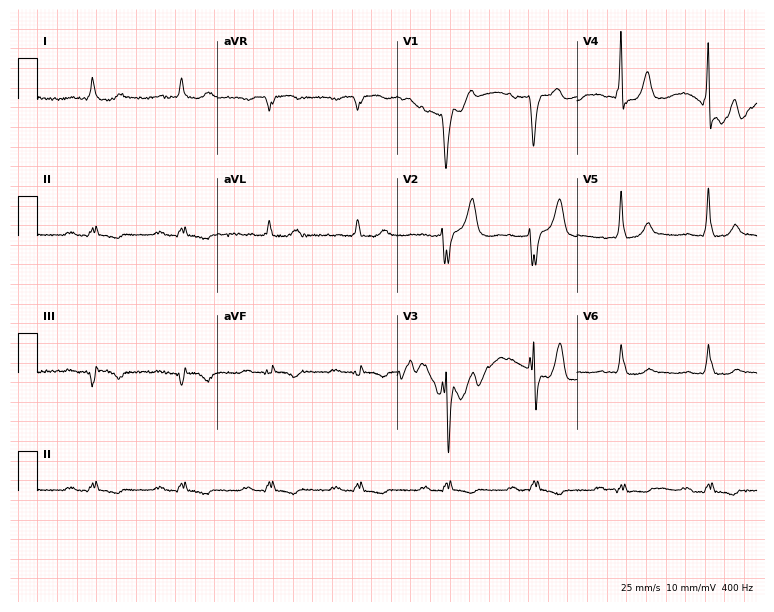
Standard 12-lead ECG recorded from a 78-year-old male (7.3-second recording at 400 Hz). The tracing shows first-degree AV block, left bundle branch block.